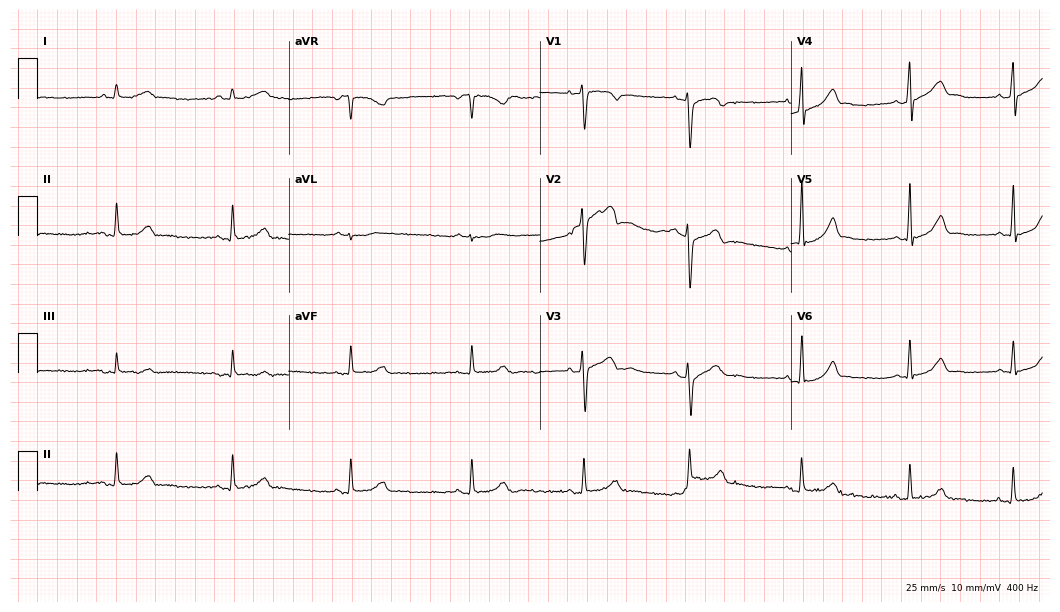
ECG (10.2-second recording at 400 Hz) — a male patient, 33 years old. Screened for six findings — first-degree AV block, right bundle branch block (RBBB), left bundle branch block (LBBB), sinus bradycardia, atrial fibrillation (AF), sinus tachycardia — none is recorded. Findings outside these six are not listed.